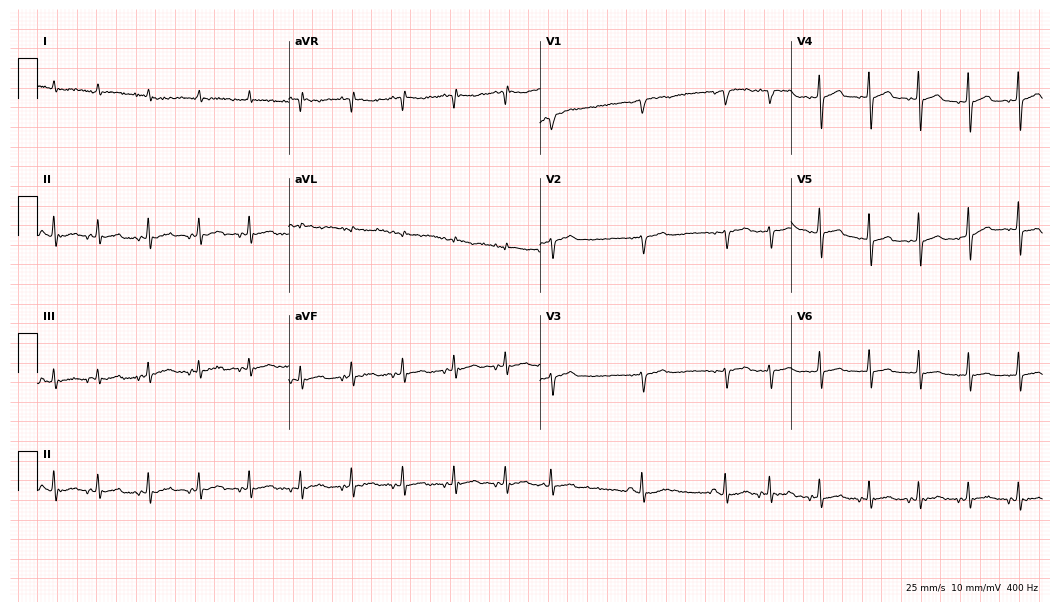
12-lead ECG from a male patient, 85 years old (10.2-second recording at 400 Hz). Shows sinus tachycardia (a sinus rate of 100 beats per minute or more).